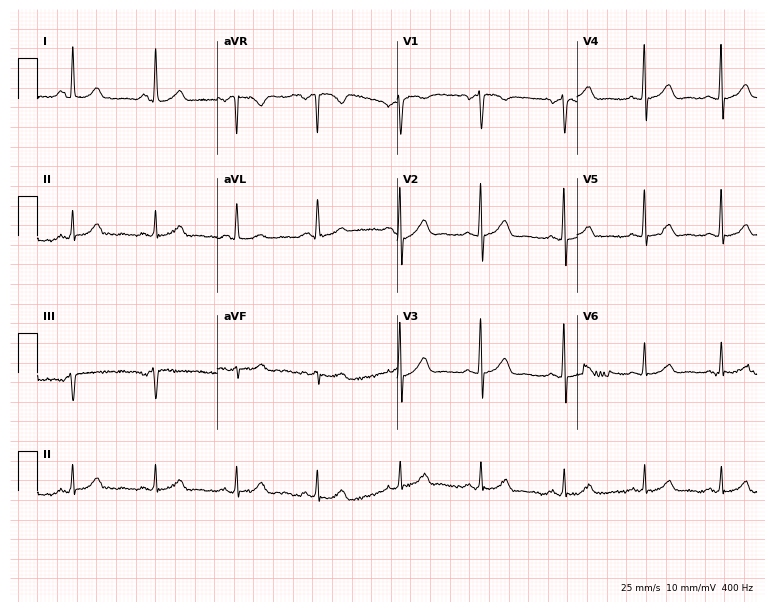
12-lead ECG (7.3-second recording at 400 Hz) from a 36-year-old female patient. Screened for six findings — first-degree AV block, right bundle branch block, left bundle branch block, sinus bradycardia, atrial fibrillation, sinus tachycardia — none is recorded.